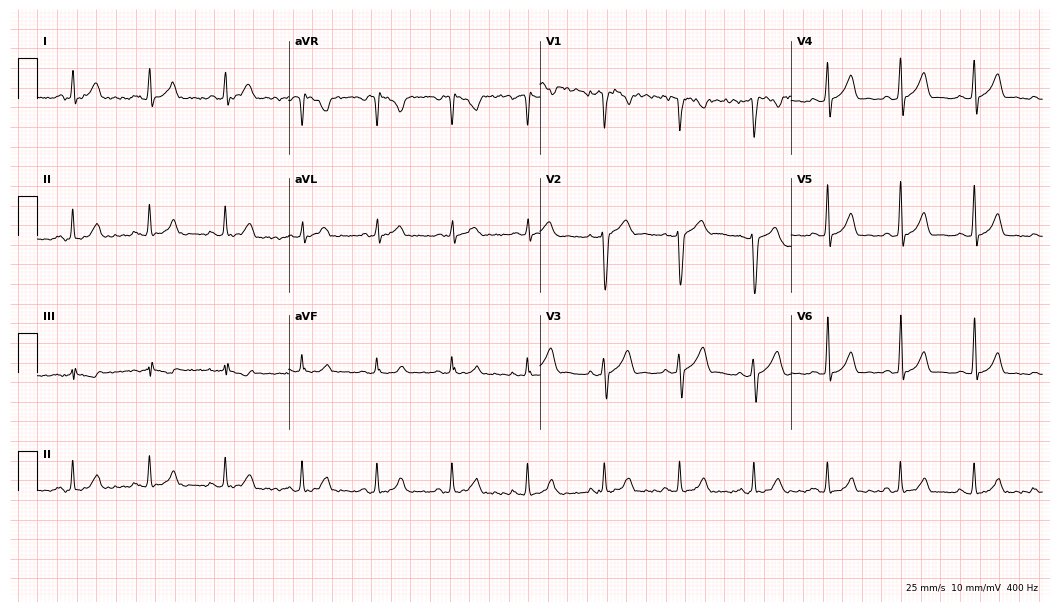
Resting 12-lead electrocardiogram (10.2-second recording at 400 Hz). Patient: a 22-year-old man. Read as a normal ECG.